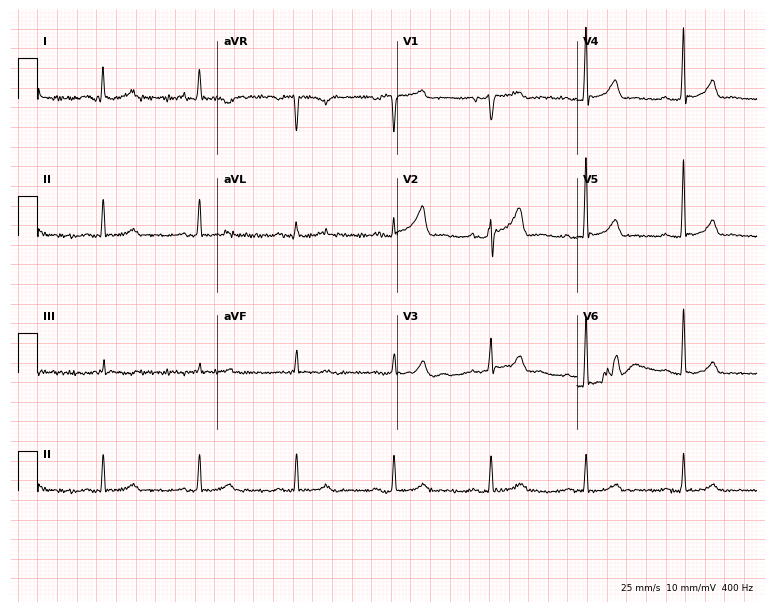
12-lead ECG from a 64-year-old male. Recorded interpretation: within normal limits.